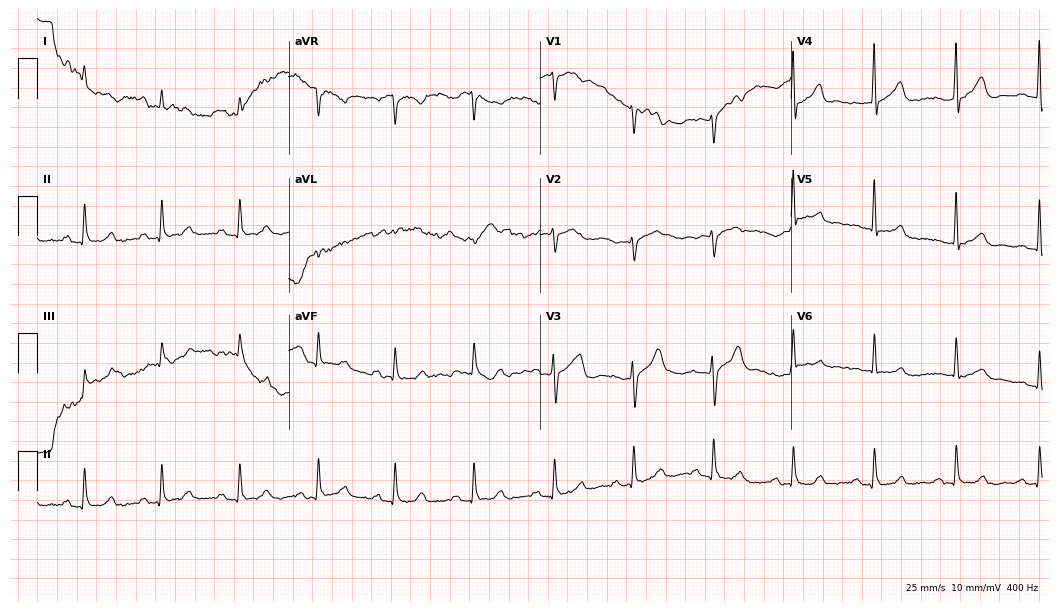
12-lead ECG from an 83-year-old male patient. Recorded interpretation: within normal limits.